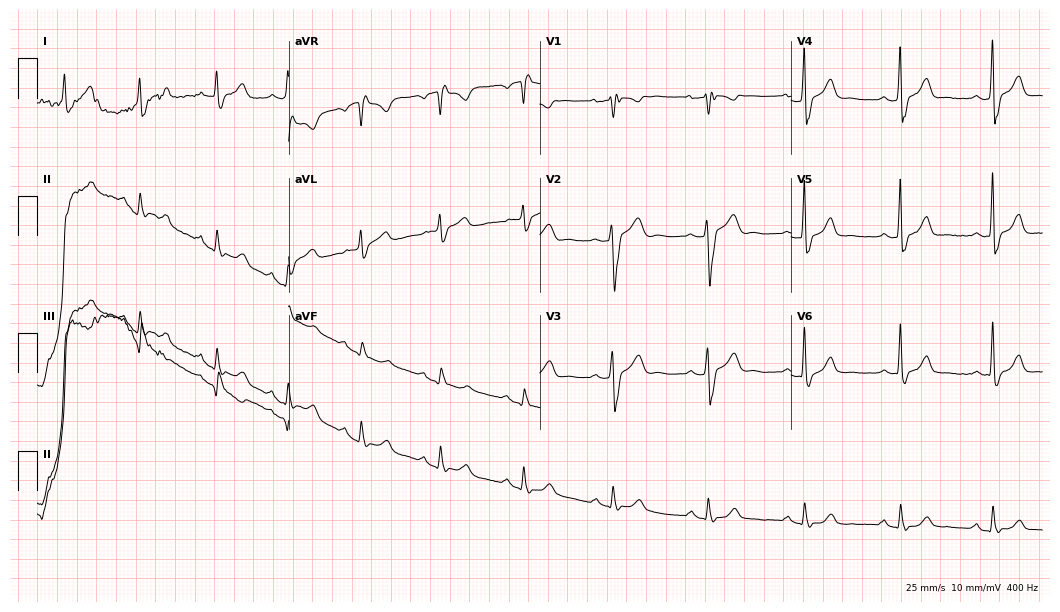
Electrocardiogram, a male patient, 47 years old. Interpretation includes right bundle branch block.